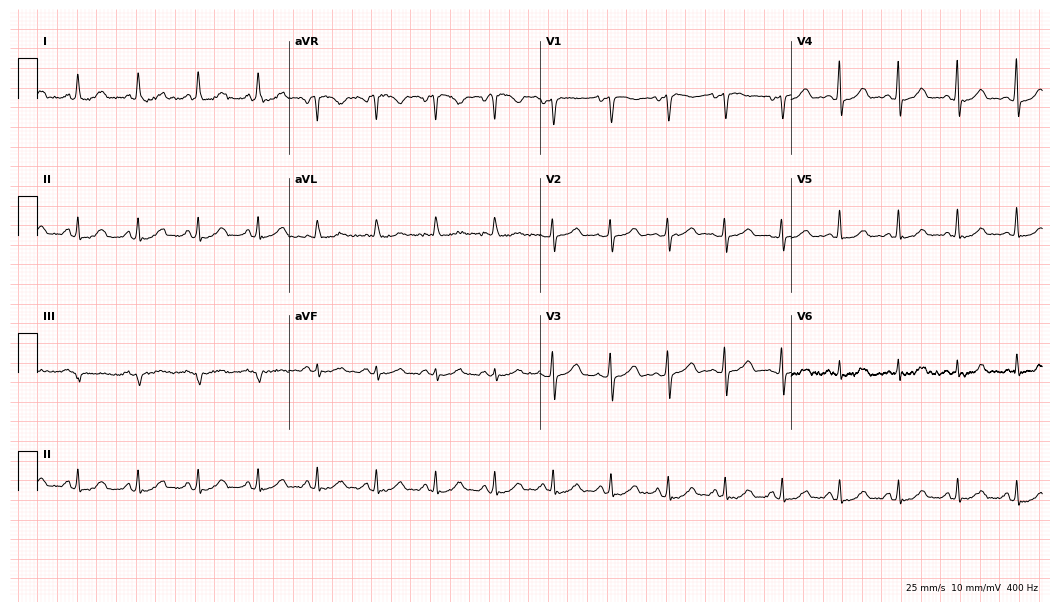
Standard 12-lead ECG recorded from a woman, 52 years old (10.2-second recording at 400 Hz). Read as a normal ECG.